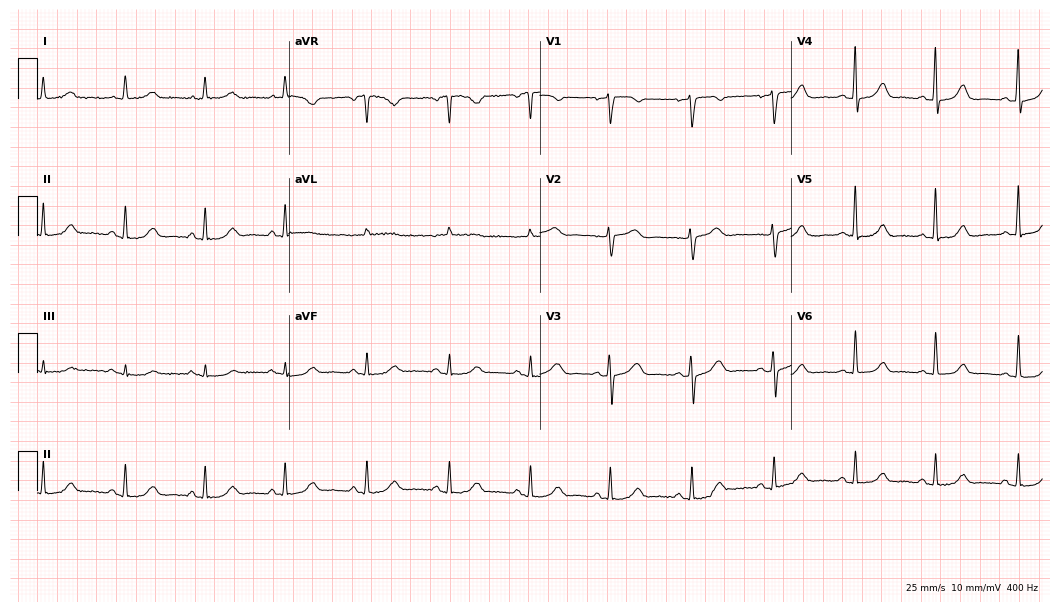
Electrocardiogram, a female, 60 years old. Overall reading on record: normal ECG.